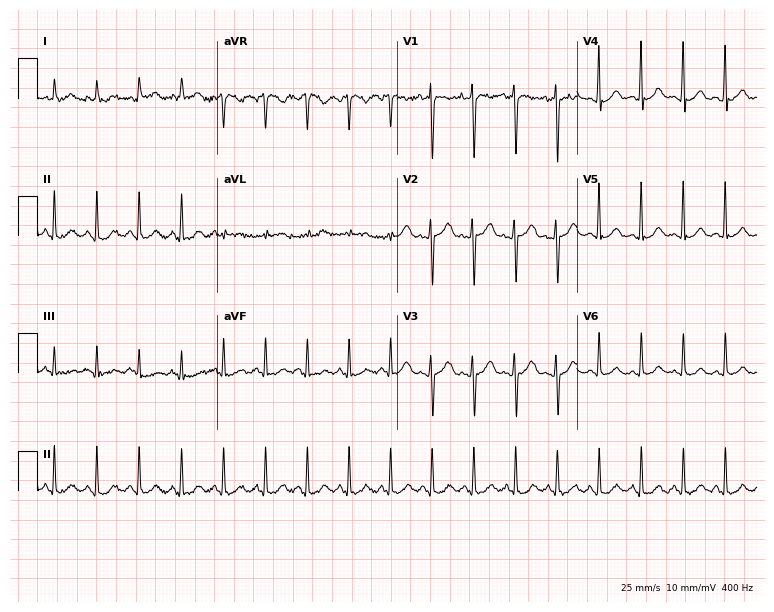
12-lead ECG (7.3-second recording at 400 Hz) from a woman, 28 years old. Screened for six findings — first-degree AV block, right bundle branch block, left bundle branch block, sinus bradycardia, atrial fibrillation, sinus tachycardia — none is recorded. Only these six findings were labelled.